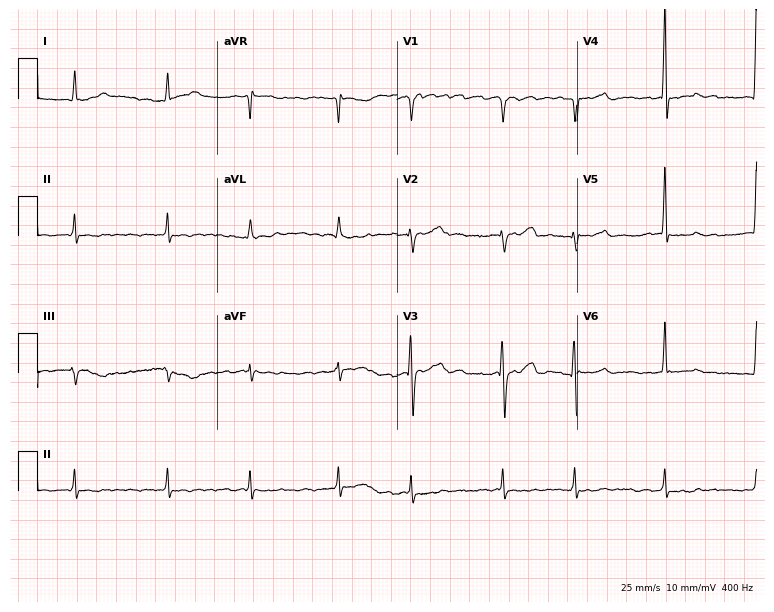
Resting 12-lead electrocardiogram (7.3-second recording at 400 Hz). Patient: a male, 77 years old. The tracing shows atrial fibrillation (AF).